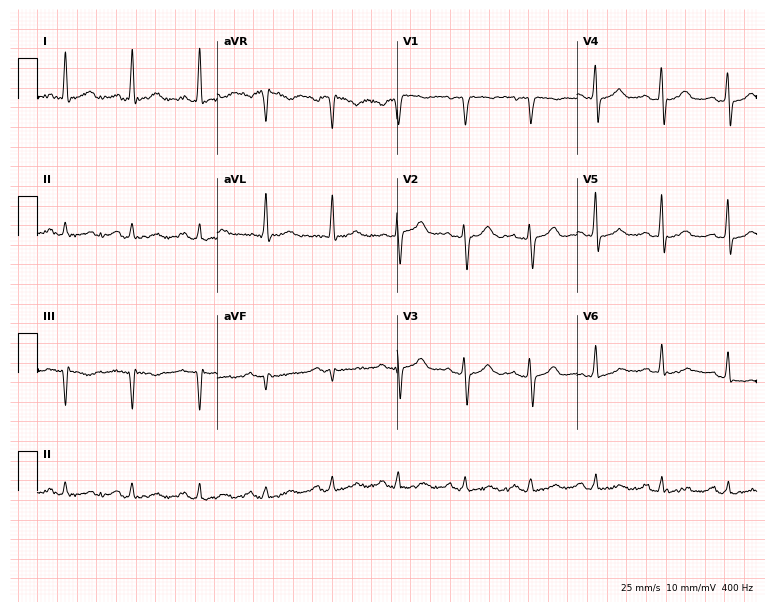
12-lead ECG from a 62-year-old woman. No first-degree AV block, right bundle branch block, left bundle branch block, sinus bradycardia, atrial fibrillation or sinus tachycardia recorded for this tracing.